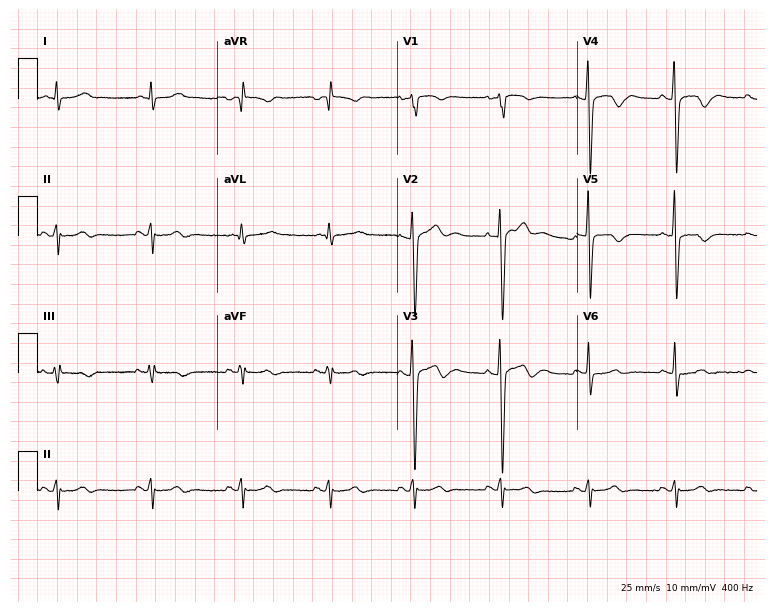
Resting 12-lead electrocardiogram. Patient: a 38-year-old male. None of these six findings is recorded: first-degree AV block, right bundle branch block, left bundle branch block, sinus bradycardia, atrial fibrillation, sinus tachycardia. Other findings, if any, are not listed.